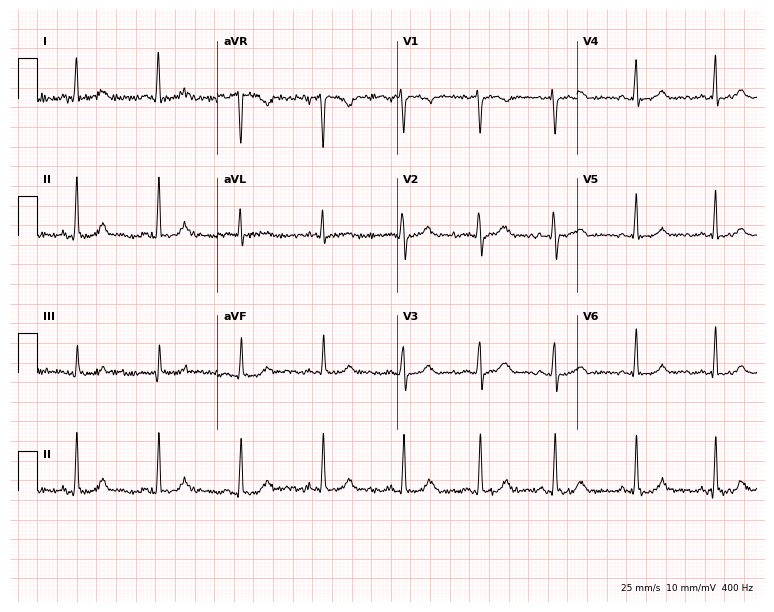
12-lead ECG from a 34-year-old female patient. No first-degree AV block, right bundle branch block (RBBB), left bundle branch block (LBBB), sinus bradycardia, atrial fibrillation (AF) or sinus tachycardia recorded for this tracing.